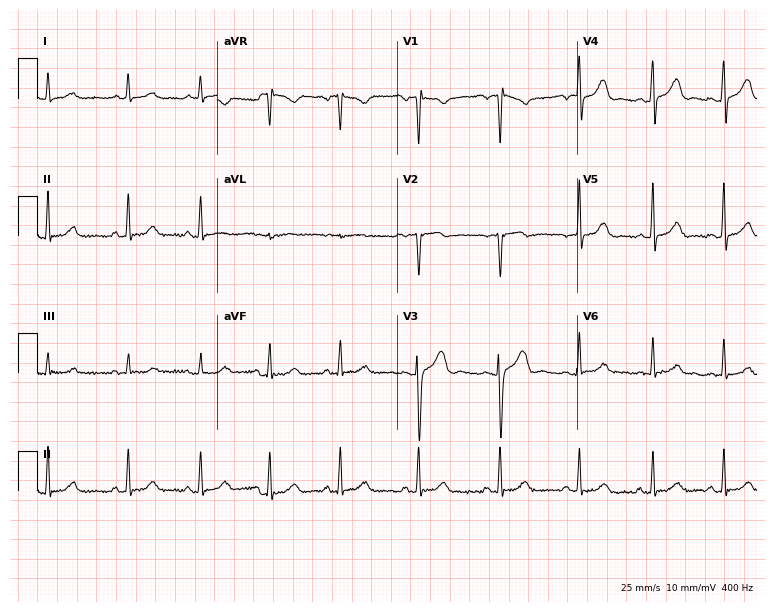
Standard 12-lead ECG recorded from a female patient, 28 years old (7.3-second recording at 400 Hz). Read as a normal ECG.